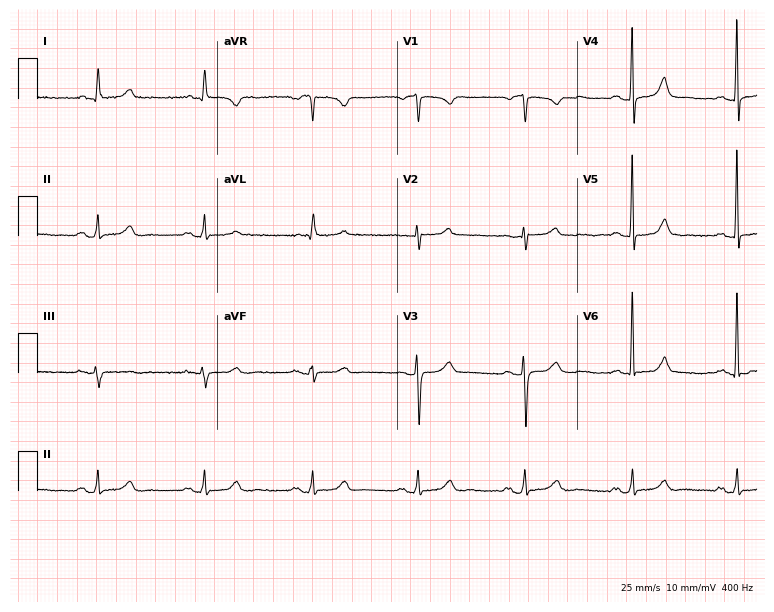
Electrocardiogram, a female patient, 73 years old. Overall reading on record: normal ECG.